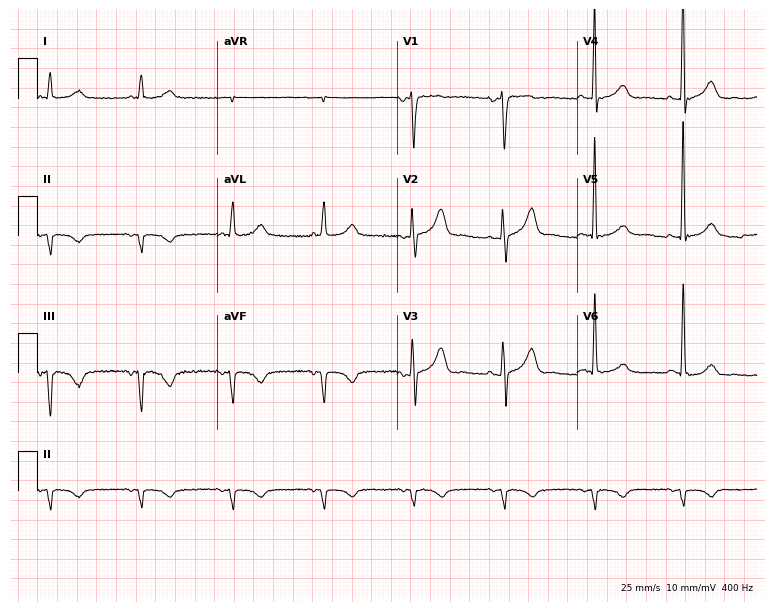
Resting 12-lead electrocardiogram. Patient: a 69-year-old male. None of these six findings is recorded: first-degree AV block, right bundle branch block, left bundle branch block, sinus bradycardia, atrial fibrillation, sinus tachycardia. Findings outside these six are not listed.